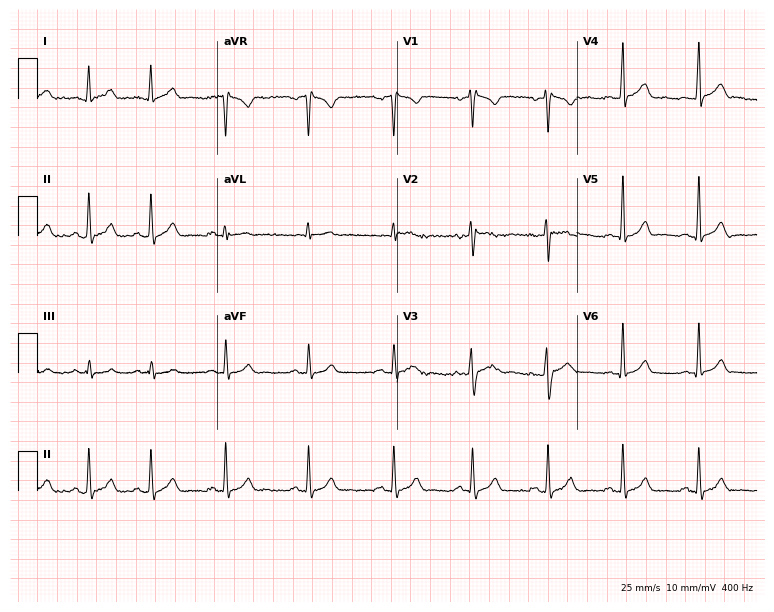
12-lead ECG (7.3-second recording at 400 Hz) from a male patient, 23 years old. Labelled as a normal ECG.